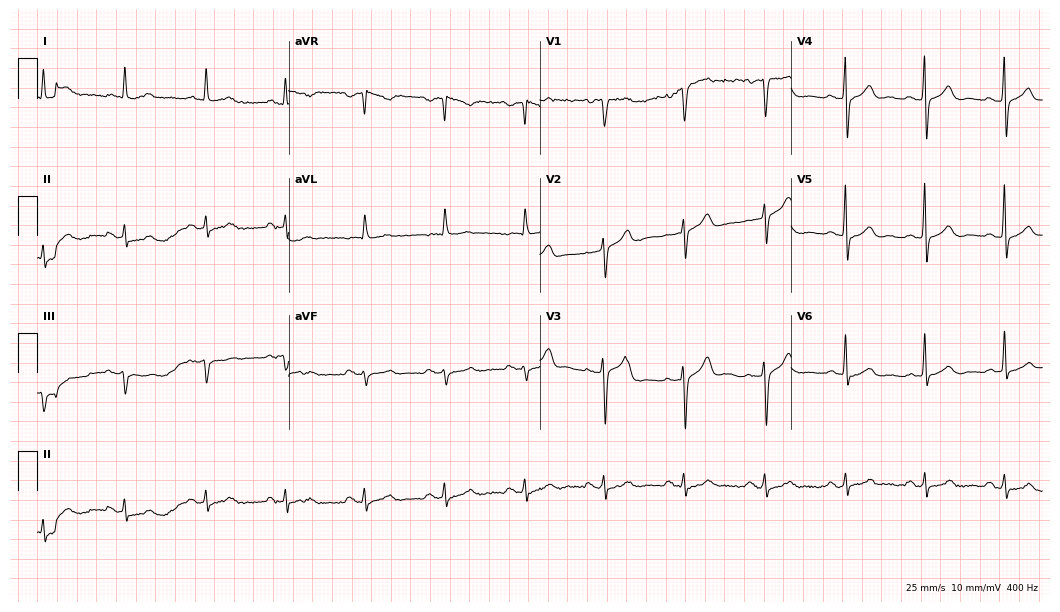
12-lead ECG from a 66-year-old man (10.2-second recording at 400 Hz). Recorded interpretation: within normal limits.